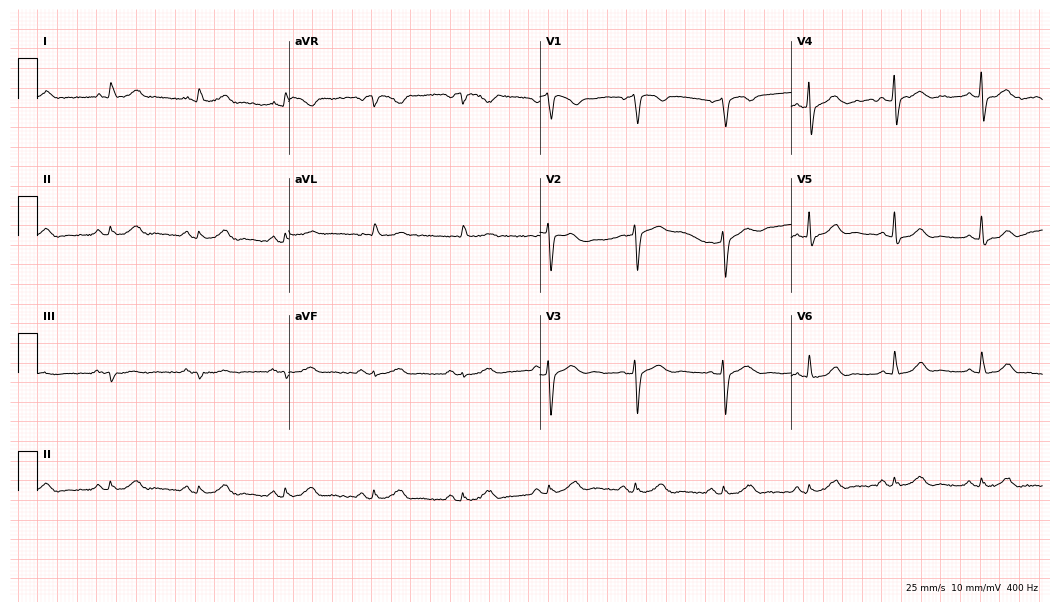
12-lead ECG from a 68-year-old male (10.2-second recording at 400 Hz). Recorded interpretation: within normal limits.